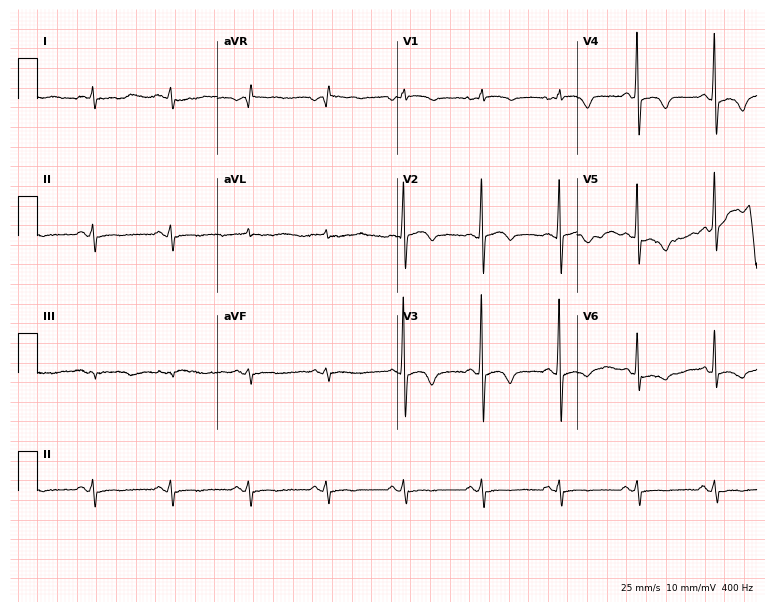
Resting 12-lead electrocardiogram (7.3-second recording at 400 Hz). Patient: a man, 81 years old. None of these six findings is recorded: first-degree AV block, right bundle branch block, left bundle branch block, sinus bradycardia, atrial fibrillation, sinus tachycardia. Only these six findings were labelled.